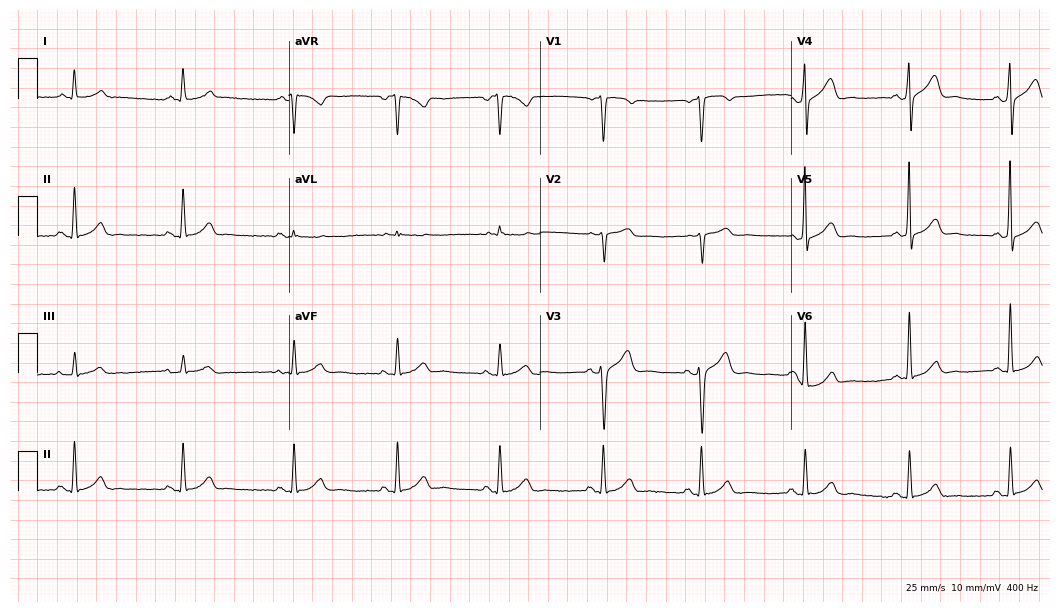
Resting 12-lead electrocardiogram (10.2-second recording at 400 Hz). Patient: a male, 47 years old. Read as a normal ECG.